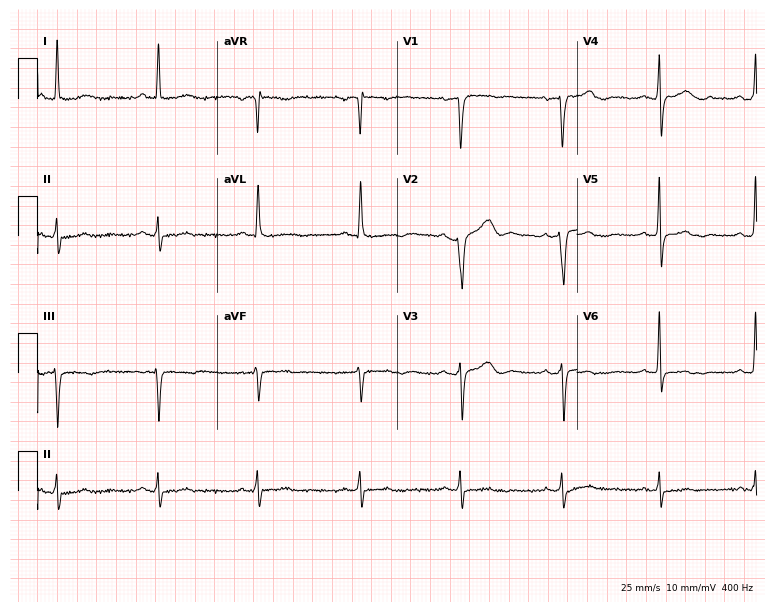
Standard 12-lead ECG recorded from a 74-year-old female (7.3-second recording at 400 Hz). Read as a normal ECG.